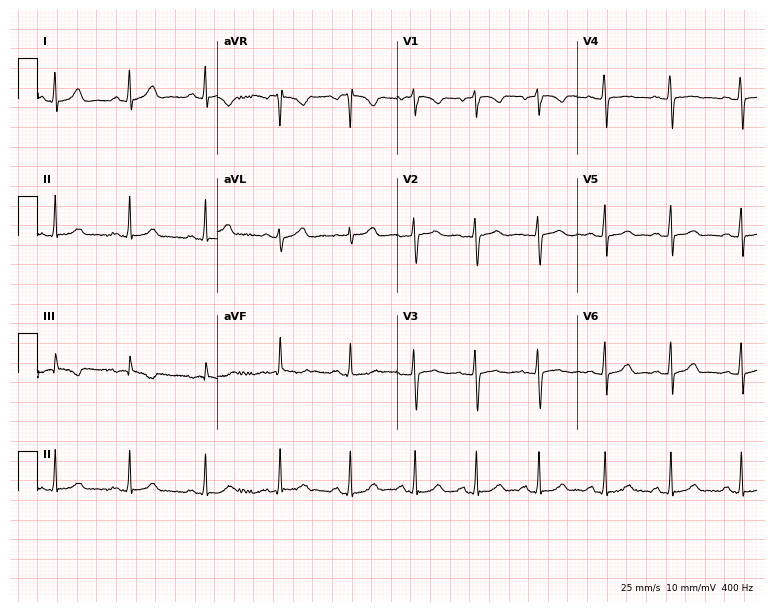
12-lead ECG (7.3-second recording at 400 Hz) from a female, 27 years old. Labelled as a normal ECG.